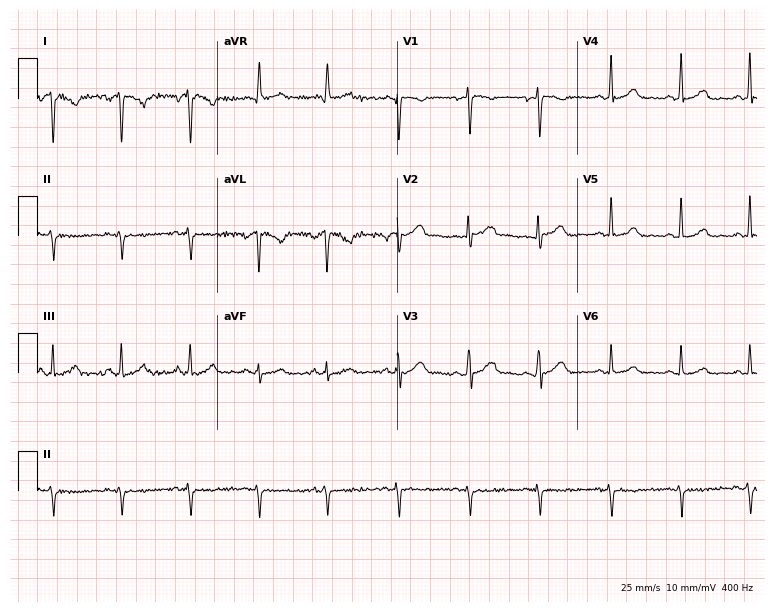
12-lead ECG (7.3-second recording at 400 Hz) from a female patient, 35 years old. Screened for six findings — first-degree AV block, right bundle branch block (RBBB), left bundle branch block (LBBB), sinus bradycardia, atrial fibrillation (AF), sinus tachycardia — none is recorded. Other findings, if any, are not listed.